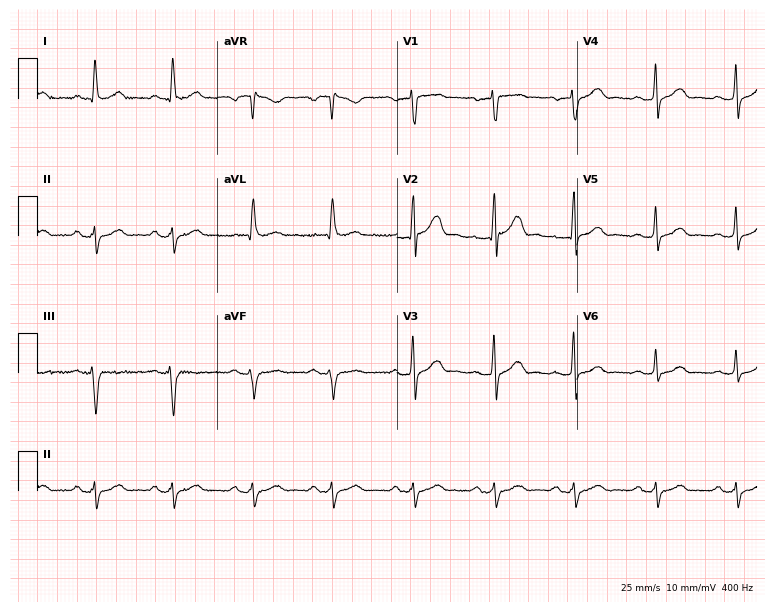
12-lead ECG from a male, 58 years old. No first-degree AV block, right bundle branch block, left bundle branch block, sinus bradycardia, atrial fibrillation or sinus tachycardia recorded for this tracing.